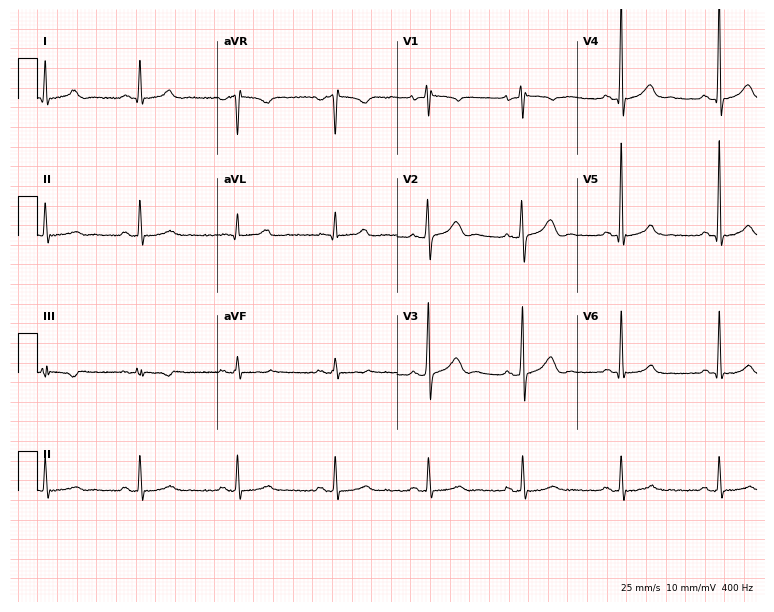
ECG (7.3-second recording at 400 Hz) — a 42-year-old male. Screened for six findings — first-degree AV block, right bundle branch block, left bundle branch block, sinus bradycardia, atrial fibrillation, sinus tachycardia — none is recorded. Findings outside these six are not listed.